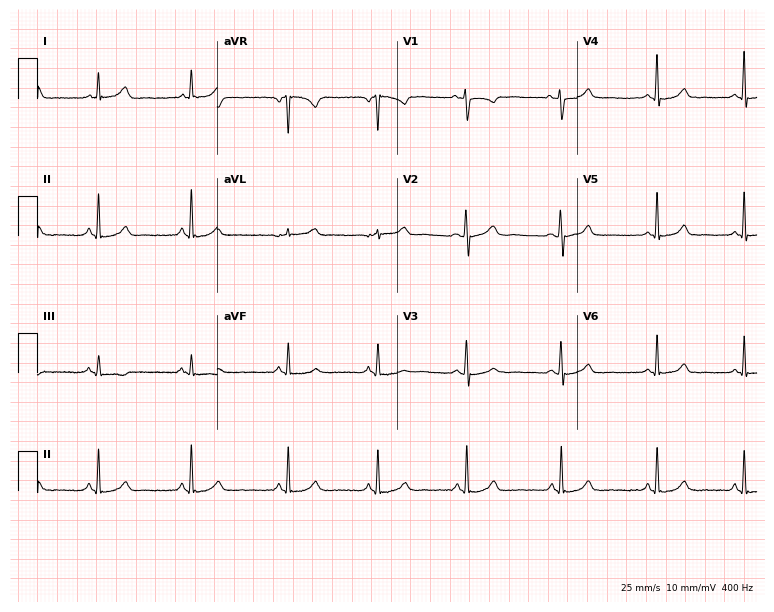
12-lead ECG from a woman, 26 years old. Labelled as a normal ECG.